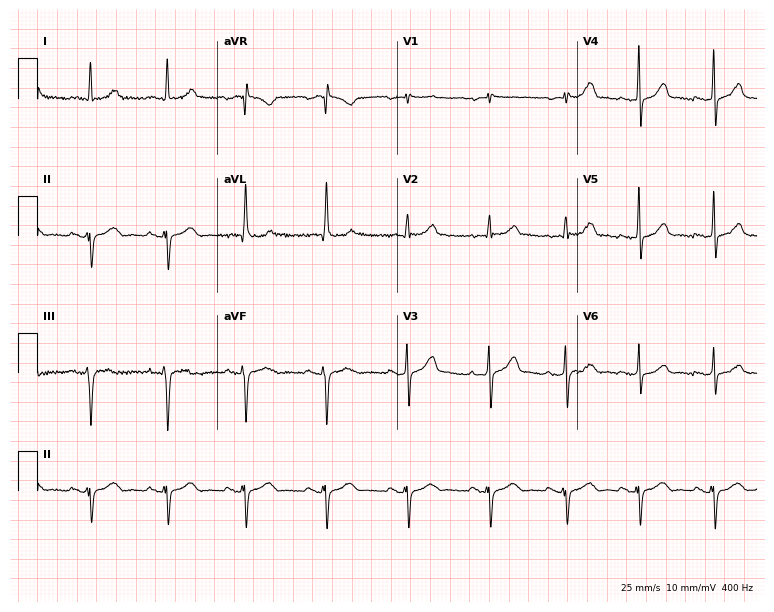
Resting 12-lead electrocardiogram (7.3-second recording at 400 Hz). Patient: a 62-year-old female. None of these six findings is recorded: first-degree AV block, right bundle branch block, left bundle branch block, sinus bradycardia, atrial fibrillation, sinus tachycardia. Other findings, if any, are not listed.